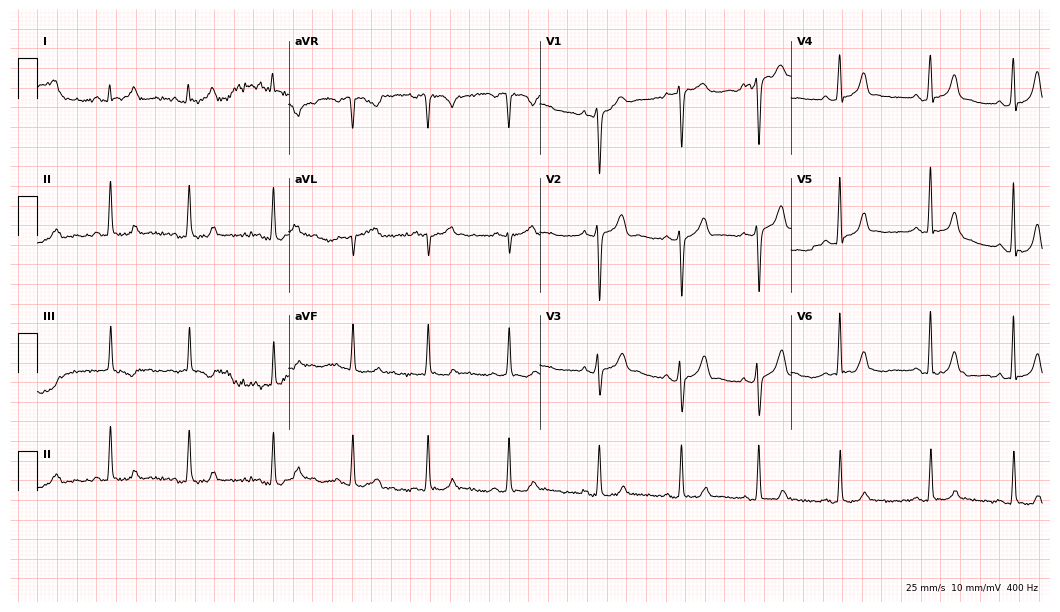
12-lead ECG from a 36-year-old woman. Recorded interpretation: within normal limits.